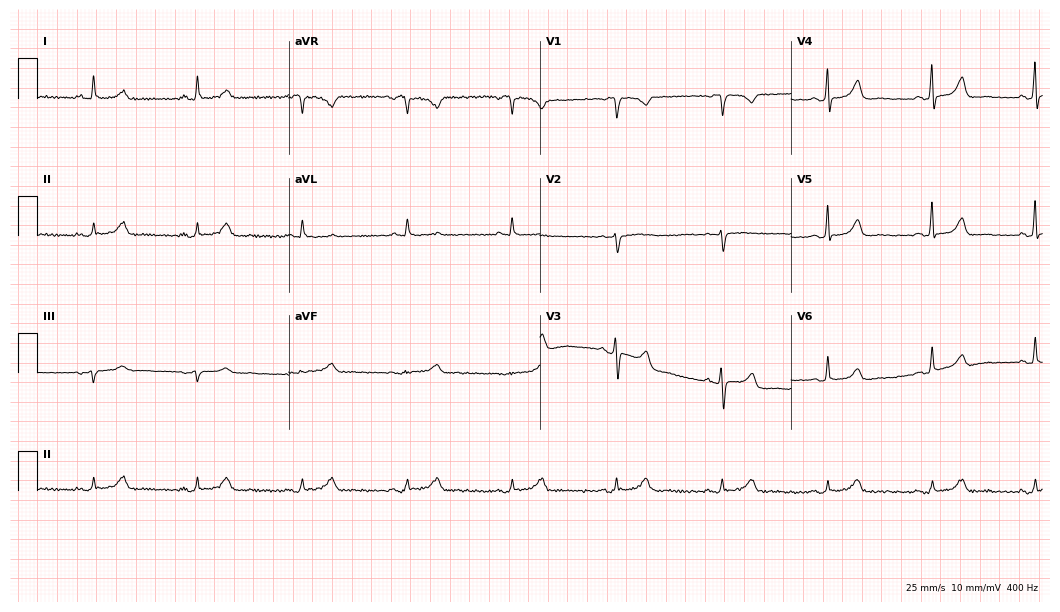
Electrocardiogram (10.2-second recording at 400 Hz), a female patient, 76 years old. Overall reading on record: normal ECG.